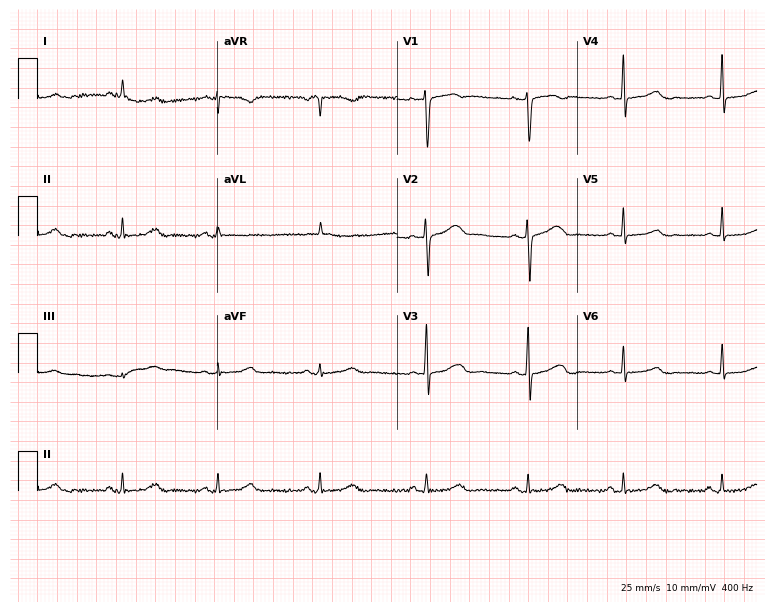
Standard 12-lead ECG recorded from a 53-year-old female patient. None of these six findings is recorded: first-degree AV block, right bundle branch block (RBBB), left bundle branch block (LBBB), sinus bradycardia, atrial fibrillation (AF), sinus tachycardia. Other findings, if any, are not listed.